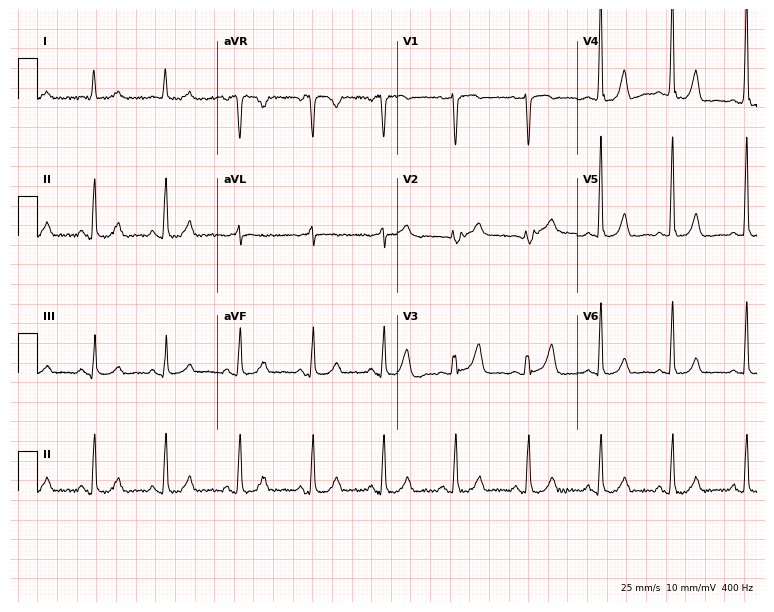
ECG (7.3-second recording at 400 Hz) — a female patient, 51 years old. Labelled as a normal ECG.